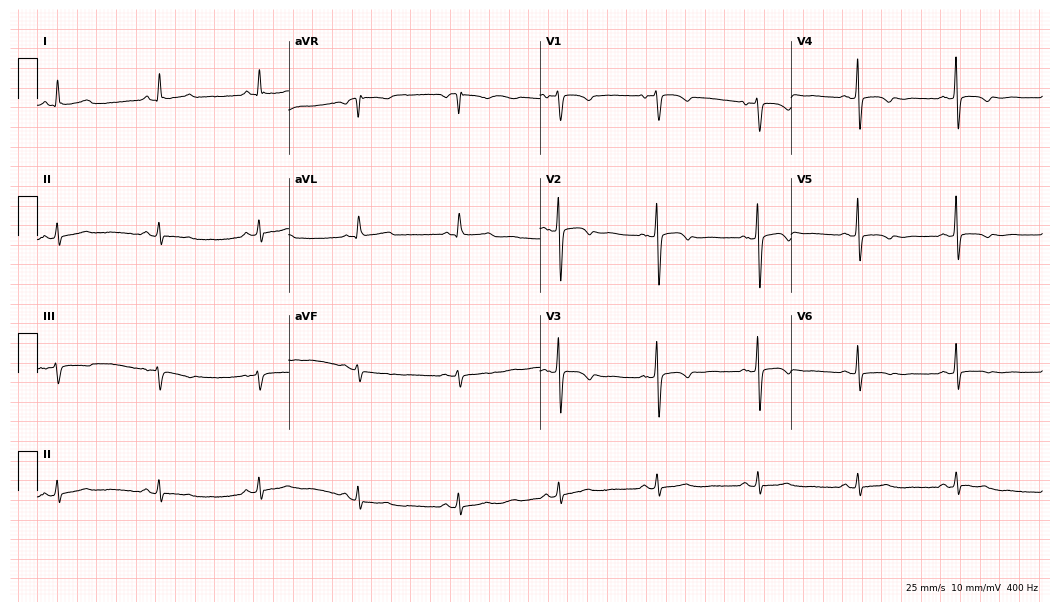
Resting 12-lead electrocardiogram. Patient: a woman, 73 years old. None of these six findings is recorded: first-degree AV block, right bundle branch block, left bundle branch block, sinus bradycardia, atrial fibrillation, sinus tachycardia.